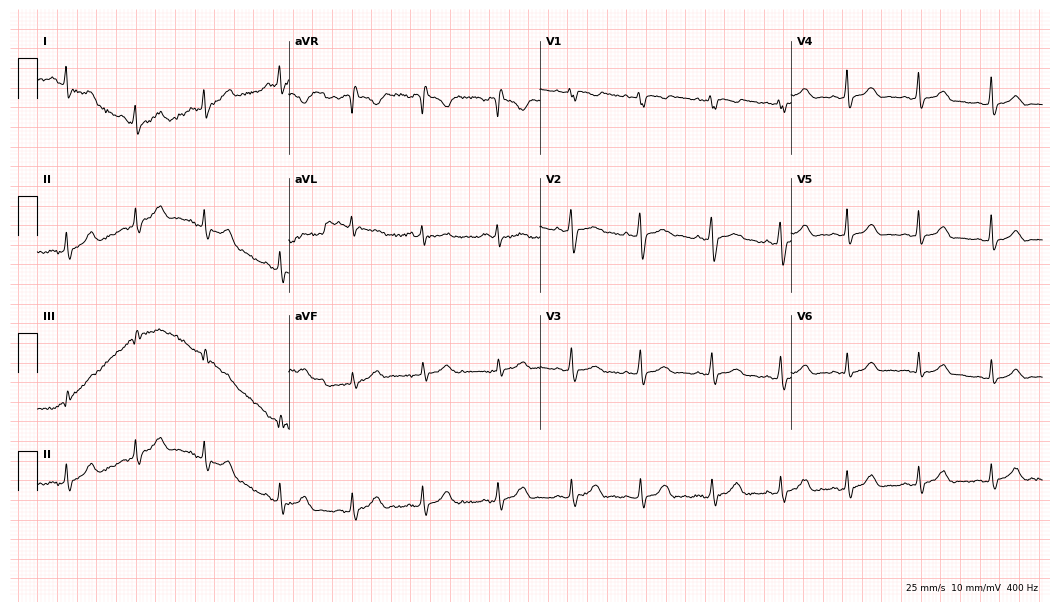
ECG (10.2-second recording at 400 Hz) — a woman, 29 years old. Screened for six findings — first-degree AV block, right bundle branch block, left bundle branch block, sinus bradycardia, atrial fibrillation, sinus tachycardia — none is recorded.